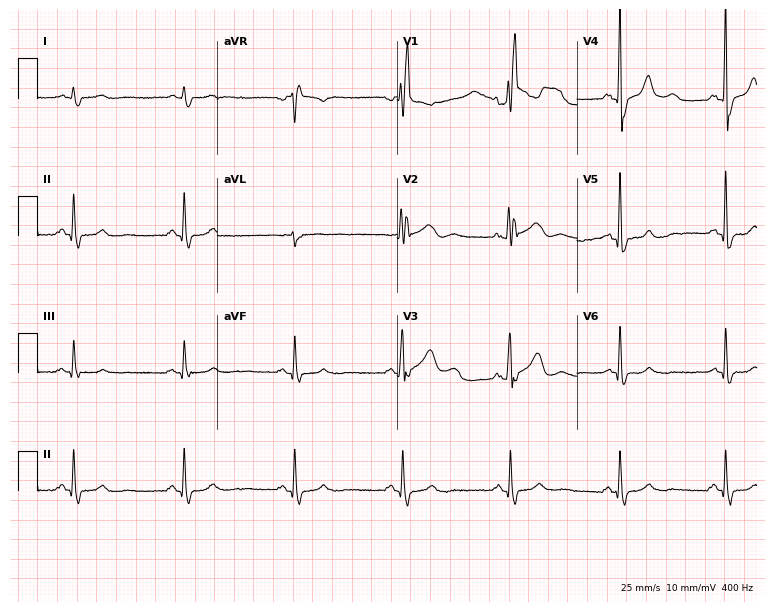
ECG — a man, 56 years old. Findings include right bundle branch block.